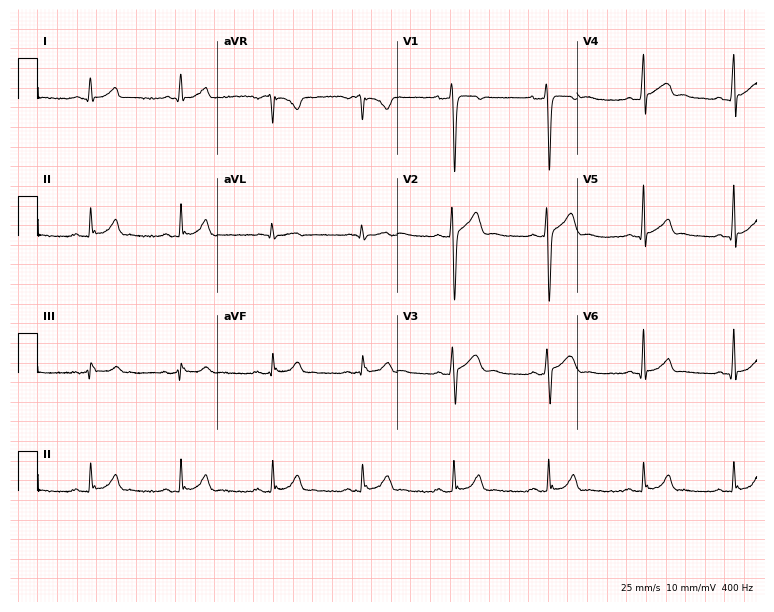
Electrocardiogram (7.3-second recording at 400 Hz), a 21-year-old male. Overall reading on record: normal ECG.